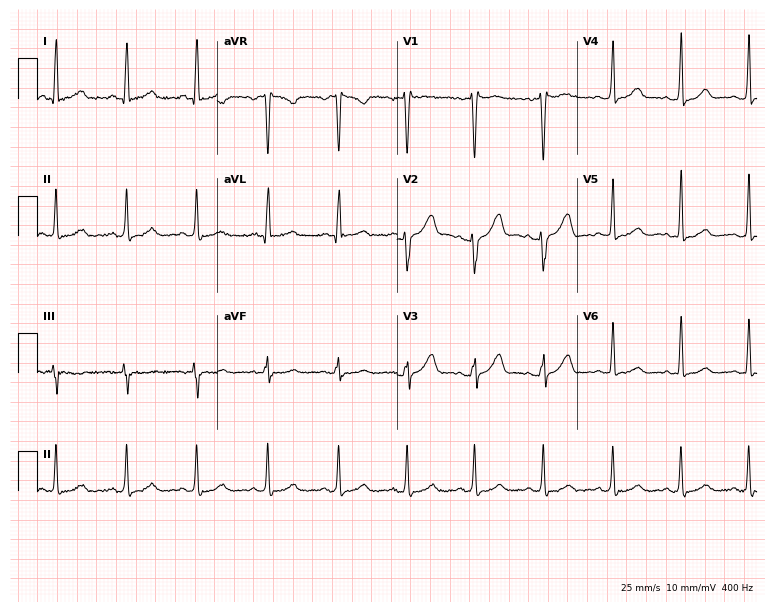
ECG — a female, 38 years old. Labelled as a normal ECG.